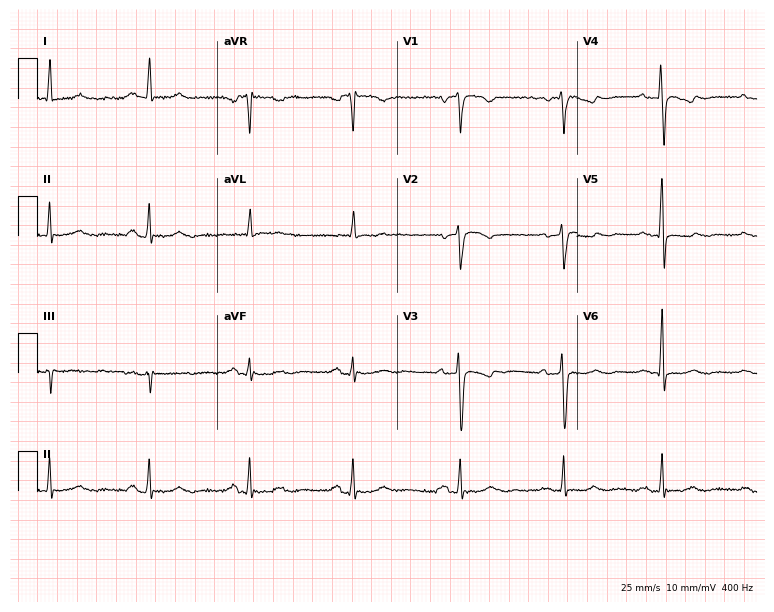
ECG (7.3-second recording at 400 Hz) — a 63-year-old female patient. Screened for six findings — first-degree AV block, right bundle branch block, left bundle branch block, sinus bradycardia, atrial fibrillation, sinus tachycardia — none is recorded.